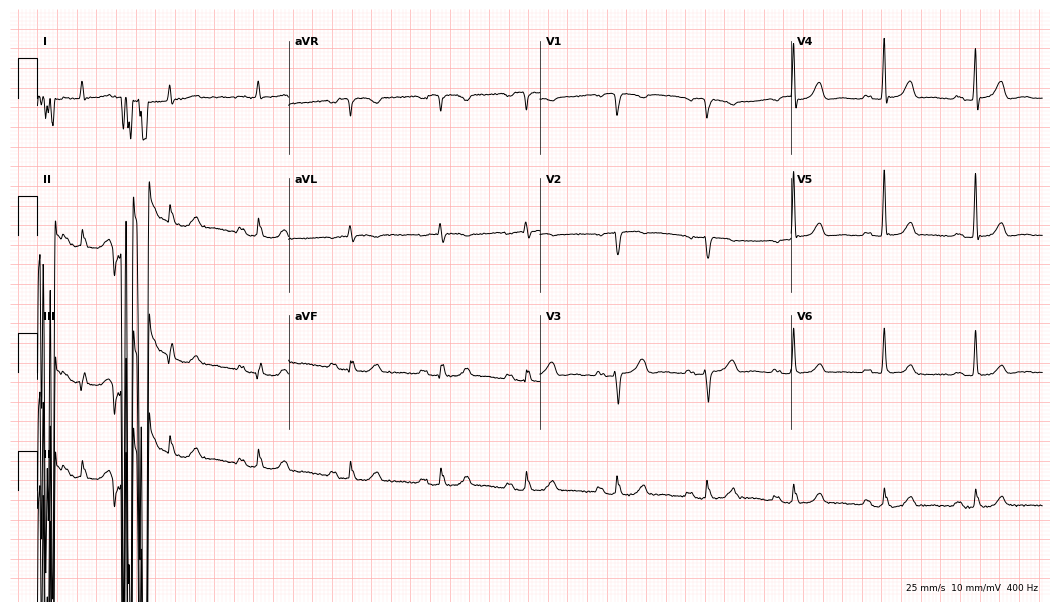
ECG — a female, 85 years old. Screened for six findings — first-degree AV block, right bundle branch block, left bundle branch block, sinus bradycardia, atrial fibrillation, sinus tachycardia — none is recorded.